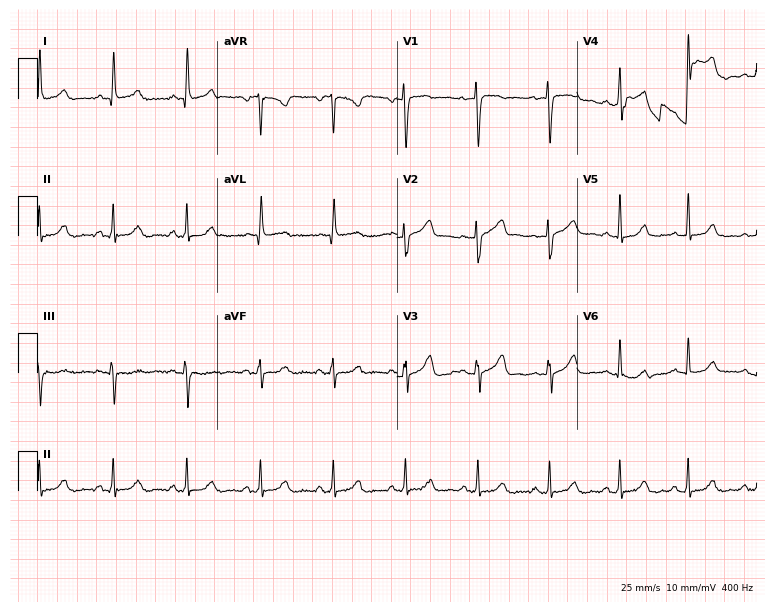
Standard 12-lead ECG recorded from a woman, 39 years old (7.3-second recording at 400 Hz). Read as a normal ECG.